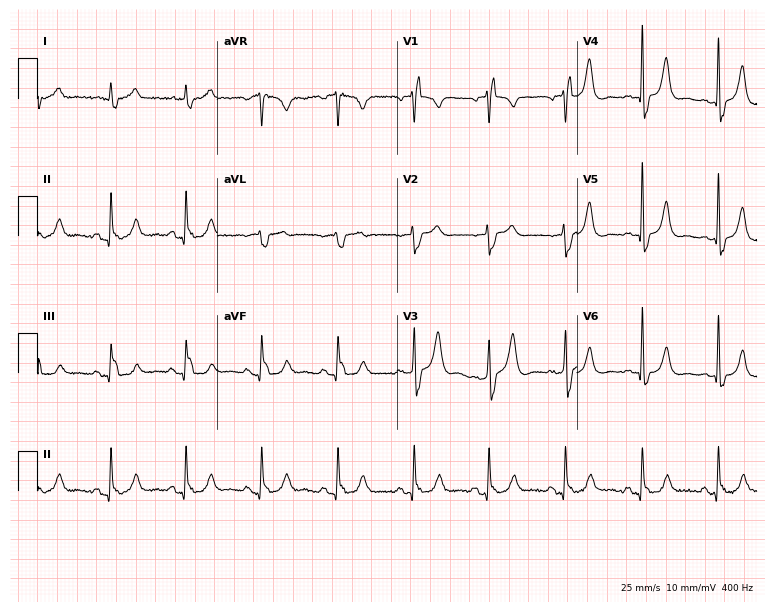
12-lead ECG from an 82-year-old male patient (7.3-second recording at 400 Hz). Shows right bundle branch block.